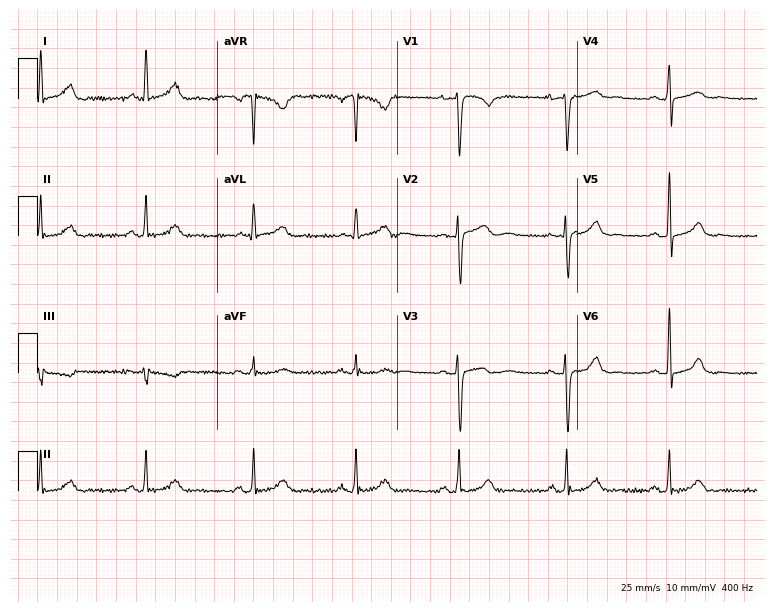
12-lead ECG (7.3-second recording at 400 Hz) from a female, 41 years old. Labelled as a normal ECG.